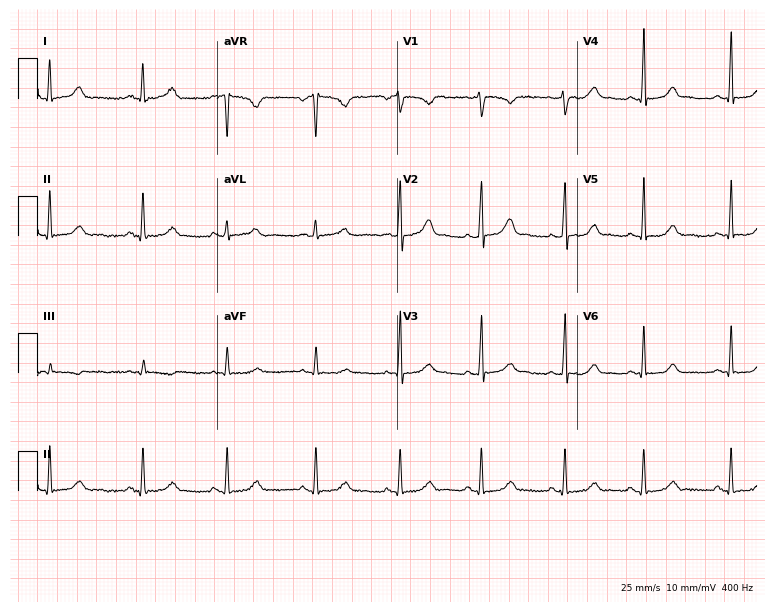
ECG — a male patient, 28 years old. Screened for six findings — first-degree AV block, right bundle branch block, left bundle branch block, sinus bradycardia, atrial fibrillation, sinus tachycardia — none is recorded. Only these six findings were labelled.